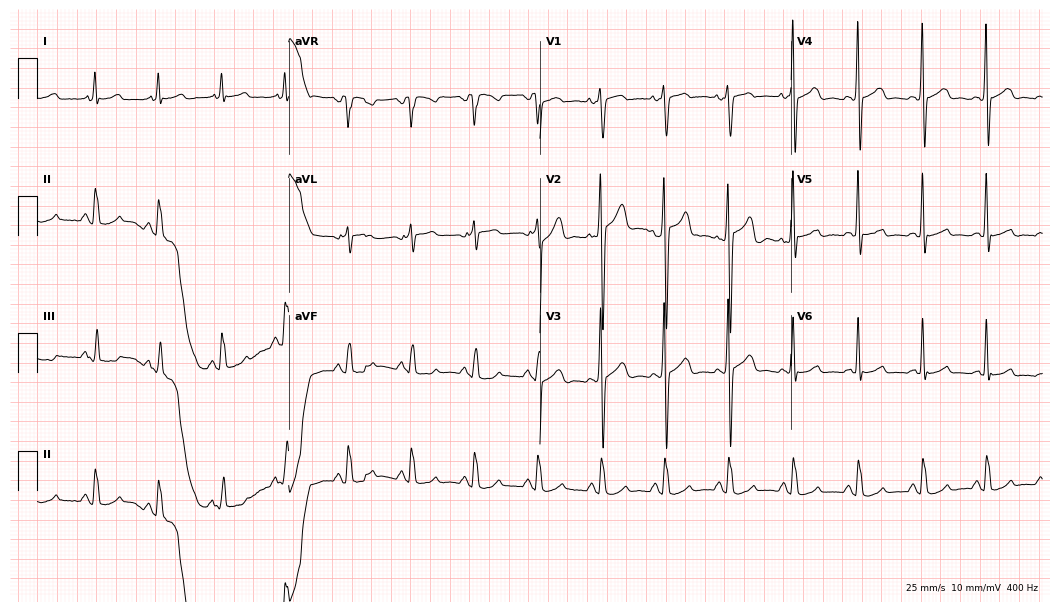
ECG — a male patient, 48 years old. Labelled as a normal ECG.